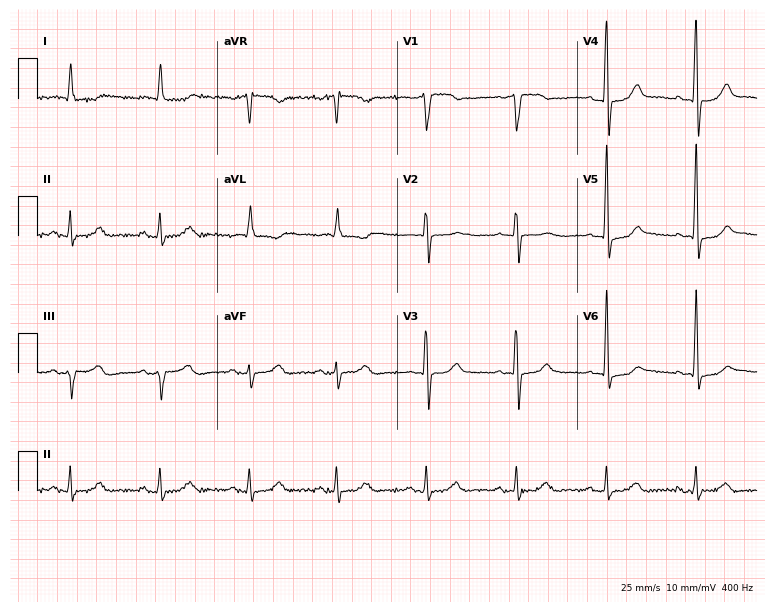
12-lead ECG from an 83-year-old man (7.3-second recording at 400 Hz). Recorded interpretation: within normal limits.